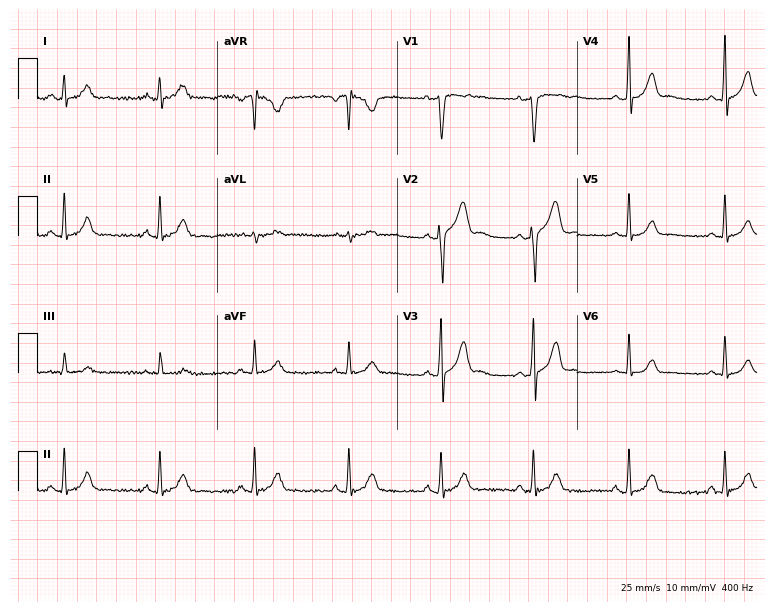
12-lead ECG from a male patient, 19 years old. No first-degree AV block, right bundle branch block, left bundle branch block, sinus bradycardia, atrial fibrillation or sinus tachycardia recorded for this tracing. Only these six findings were labelled.